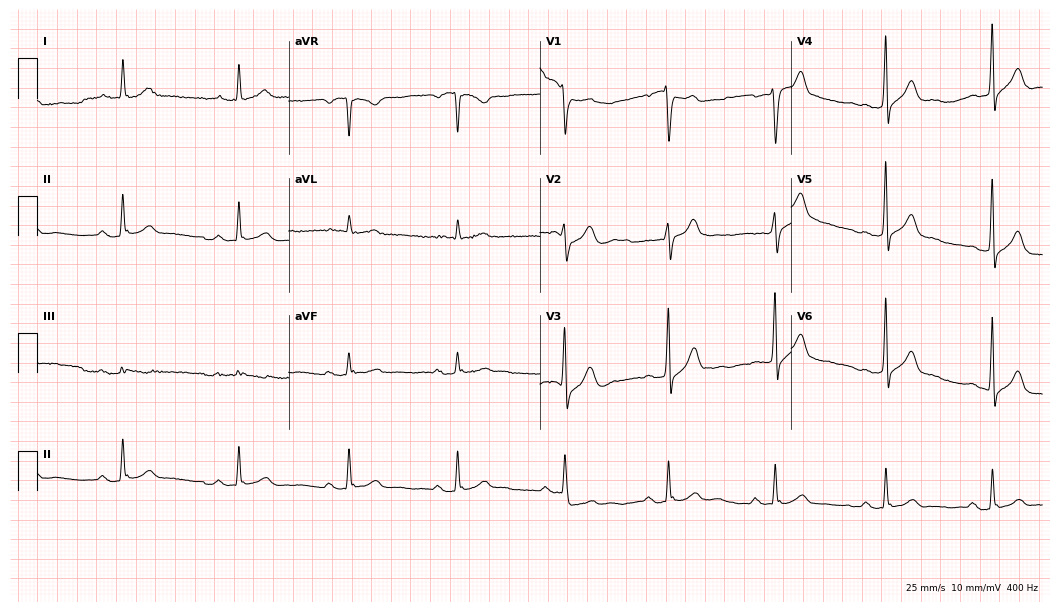
Standard 12-lead ECG recorded from a 66-year-old male (10.2-second recording at 400 Hz). None of these six findings is recorded: first-degree AV block, right bundle branch block, left bundle branch block, sinus bradycardia, atrial fibrillation, sinus tachycardia. Findings outside these six are not listed.